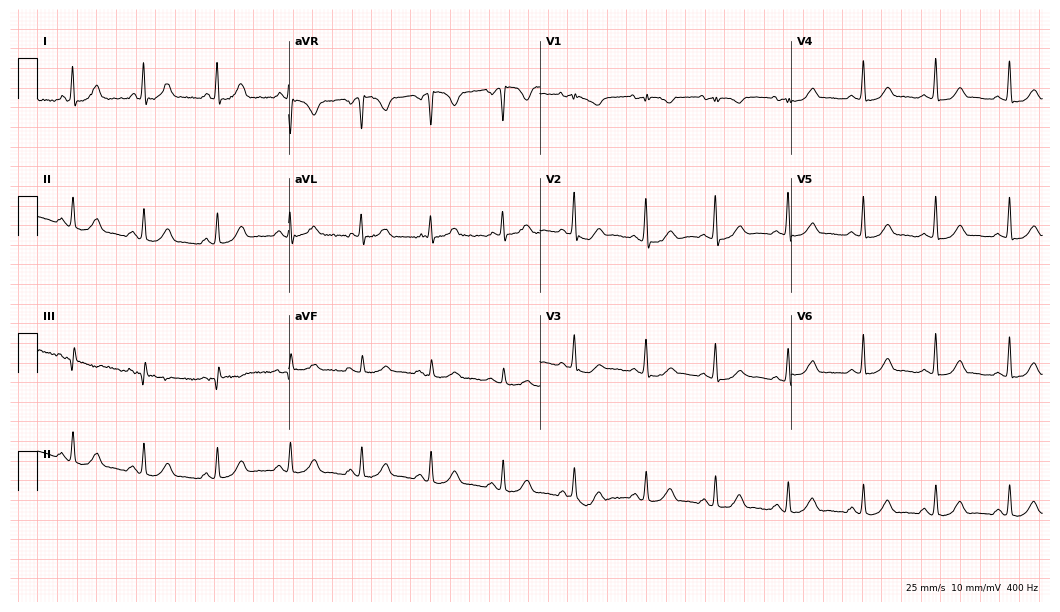
12-lead ECG from a female, 43 years old (10.2-second recording at 400 Hz). Recorded interpretation: within normal limits.